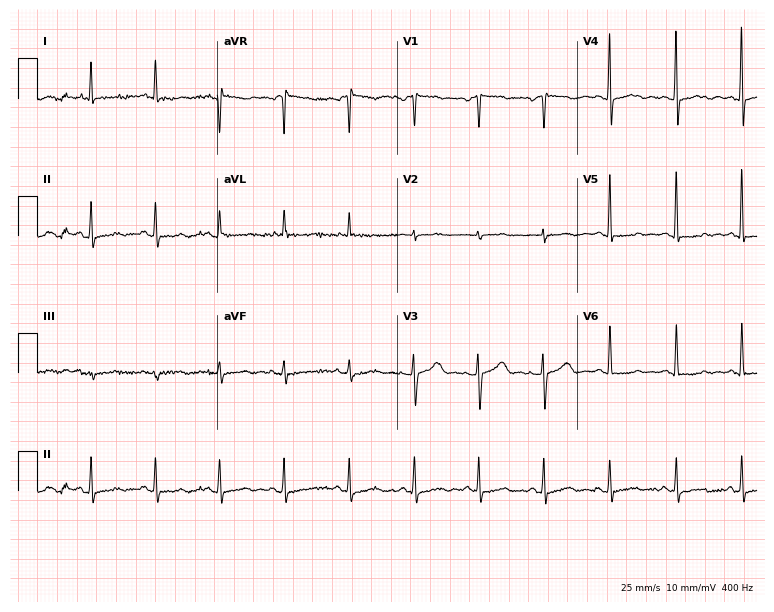
ECG — a woman, 77 years old. Labelled as a normal ECG.